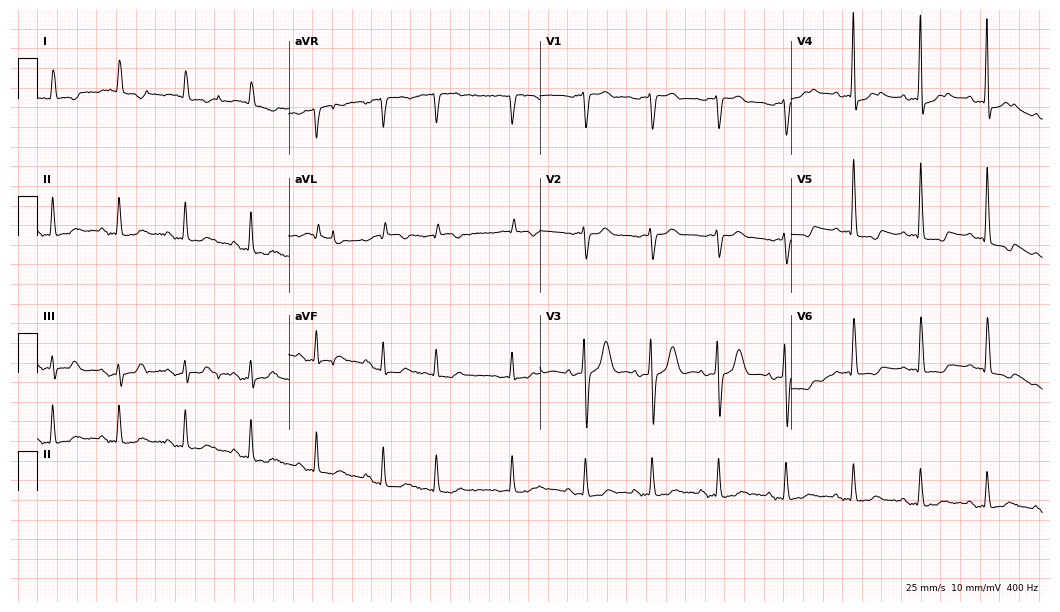
Resting 12-lead electrocardiogram (10.2-second recording at 400 Hz). Patient: a 71-year-old female. Read as a normal ECG.